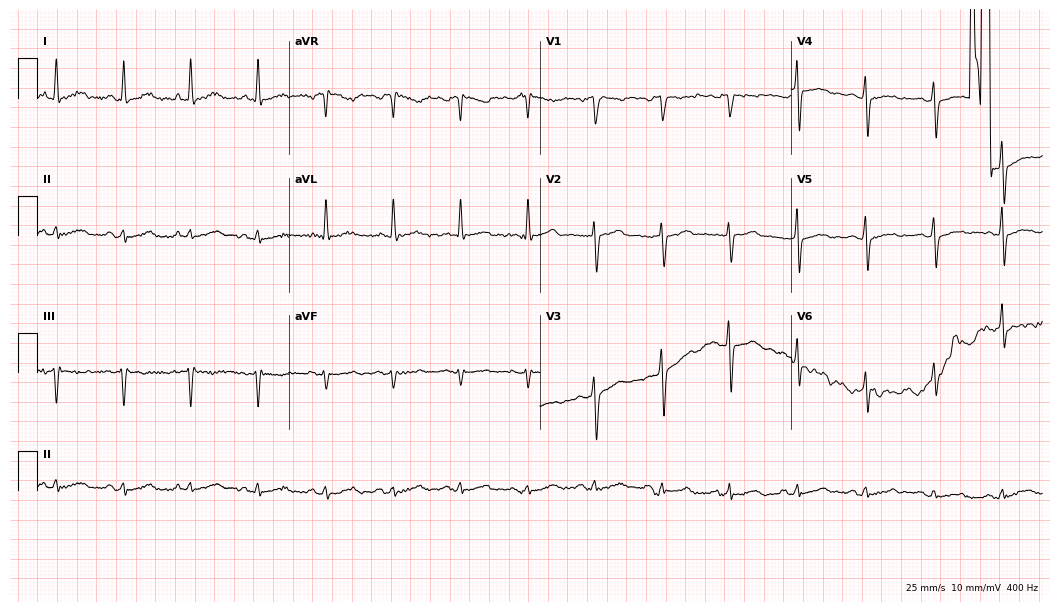
ECG (10.2-second recording at 400 Hz) — a female patient, 50 years old. Screened for six findings — first-degree AV block, right bundle branch block (RBBB), left bundle branch block (LBBB), sinus bradycardia, atrial fibrillation (AF), sinus tachycardia — none is recorded. Only these six findings were labelled.